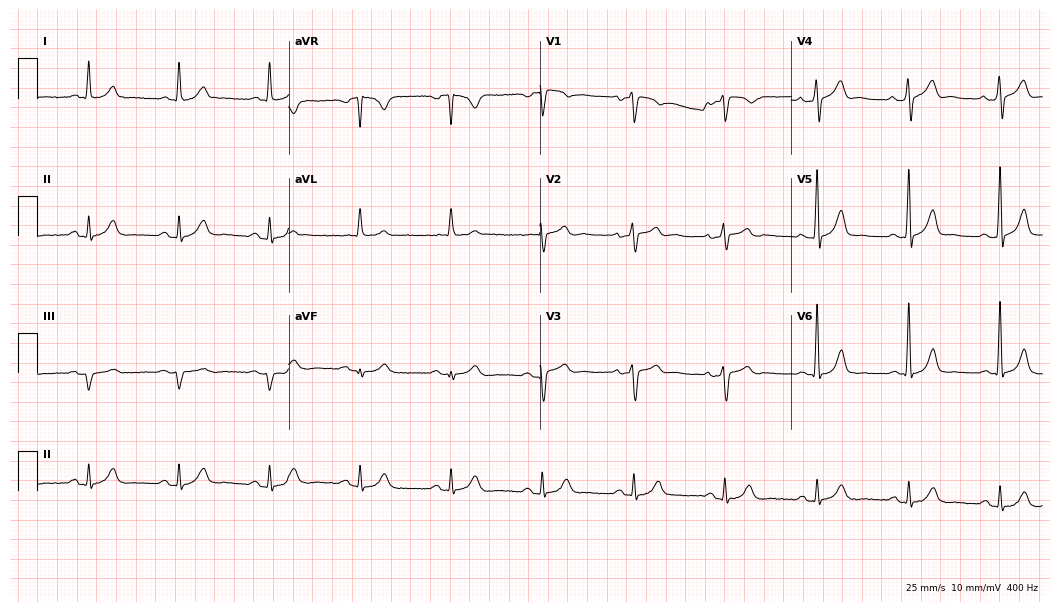
Resting 12-lead electrocardiogram. Patient: a male, 71 years old. Read as a normal ECG.